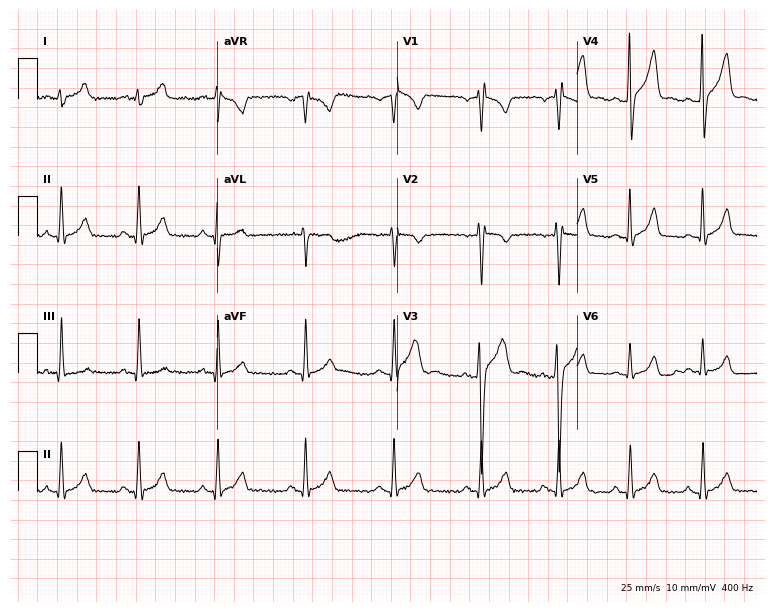
Resting 12-lead electrocardiogram (7.3-second recording at 400 Hz). Patient: a 17-year-old male. None of these six findings is recorded: first-degree AV block, right bundle branch block, left bundle branch block, sinus bradycardia, atrial fibrillation, sinus tachycardia. Findings outside these six are not listed.